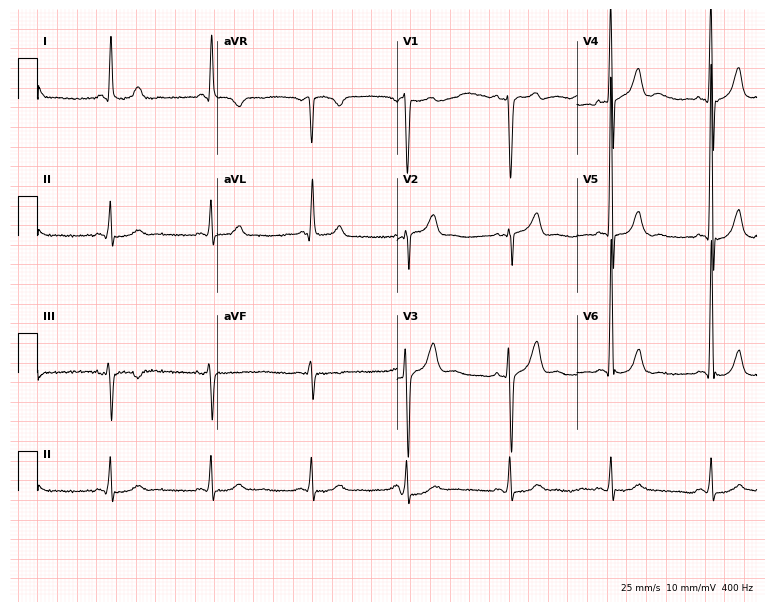
12-lead ECG (7.3-second recording at 400 Hz) from a 71-year-old man. Screened for six findings — first-degree AV block, right bundle branch block, left bundle branch block, sinus bradycardia, atrial fibrillation, sinus tachycardia — none is recorded. Findings outside these six are not listed.